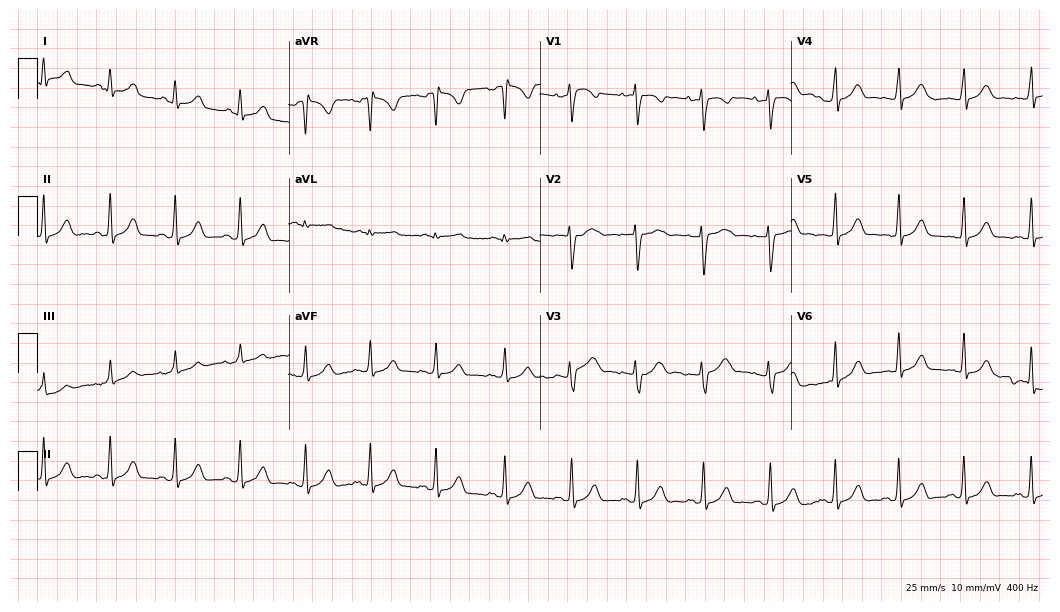
ECG — a female patient, 30 years old. Labelled as a normal ECG.